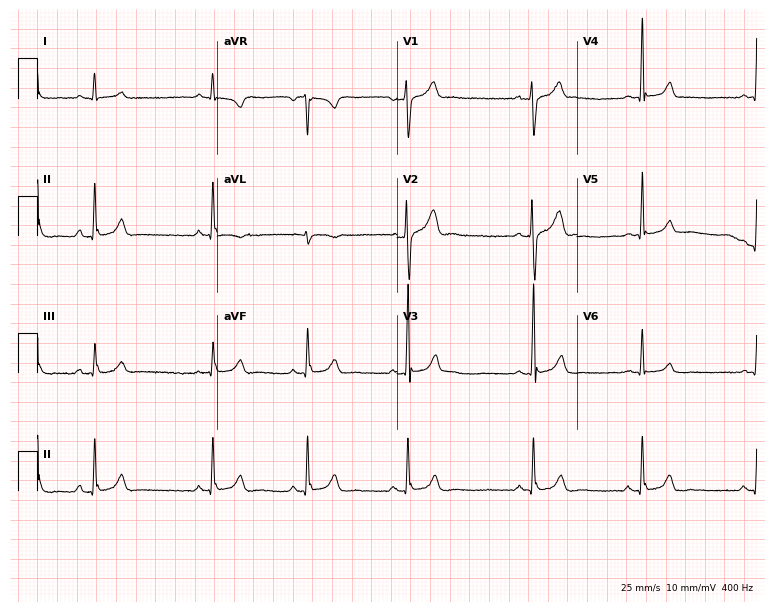
Resting 12-lead electrocardiogram. Patient: a 21-year-old man. Read as a normal ECG.